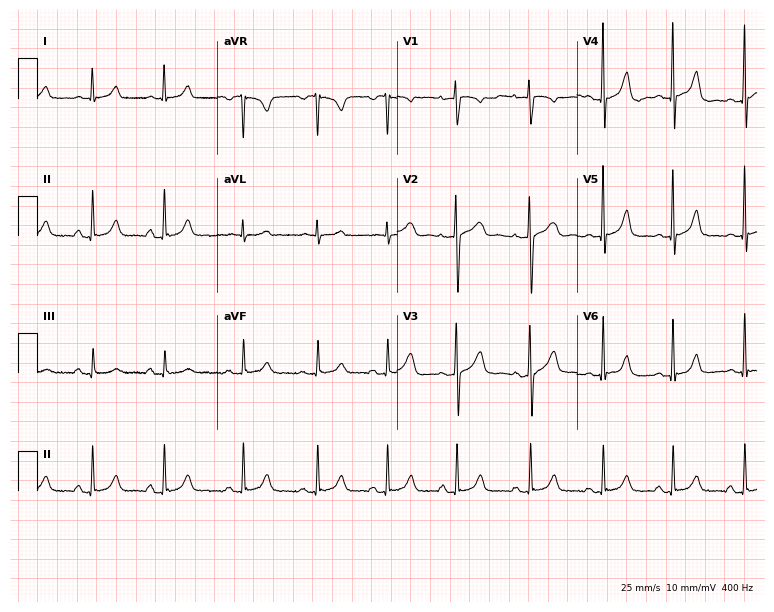
12-lead ECG from a female patient, 17 years old (7.3-second recording at 400 Hz). Recorded interpretation: within normal limits.